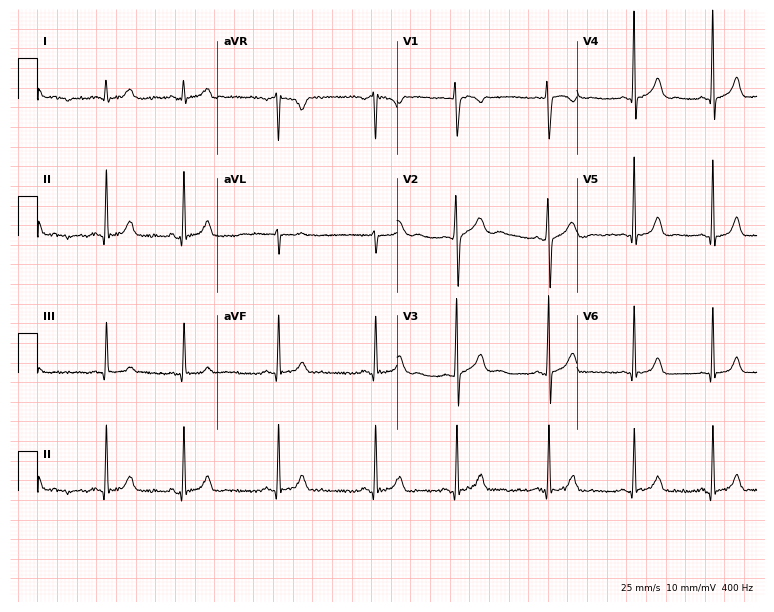
12-lead ECG (7.3-second recording at 400 Hz) from a 23-year-old female. Screened for six findings — first-degree AV block, right bundle branch block, left bundle branch block, sinus bradycardia, atrial fibrillation, sinus tachycardia — none is recorded.